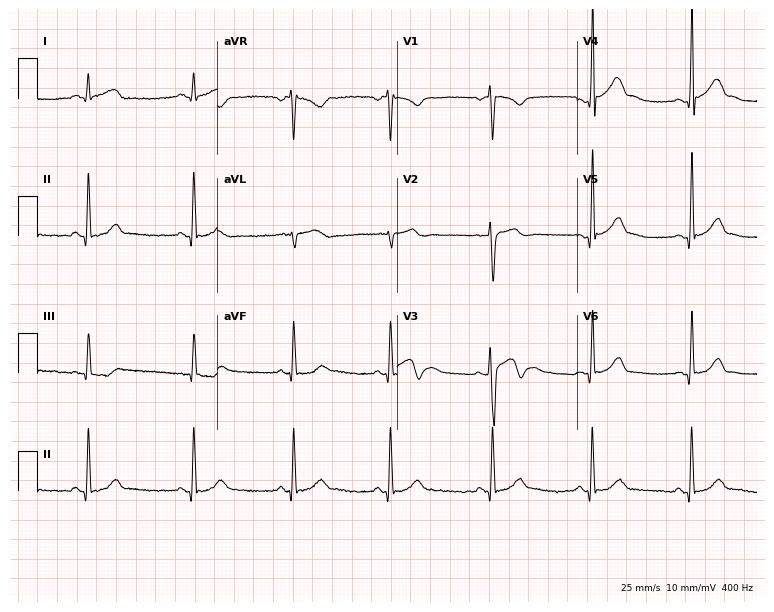
Resting 12-lead electrocardiogram. Patient: a 35-year-old male. Read as a normal ECG.